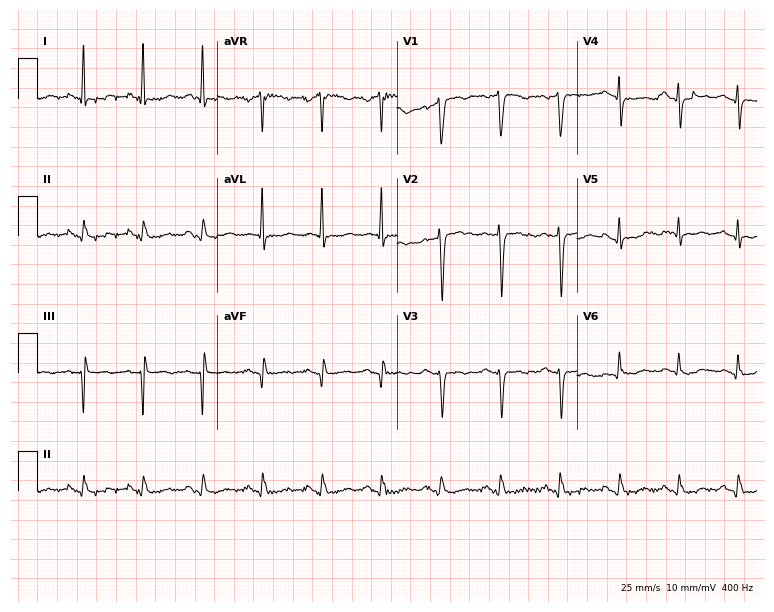
12-lead ECG from a 54-year-old female. Screened for six findings — first-degree AV block, right bundle branch block, left bundle branch block, sinus bradycardia, atrial fibrillation, sinus tachycardia — none is recorded.